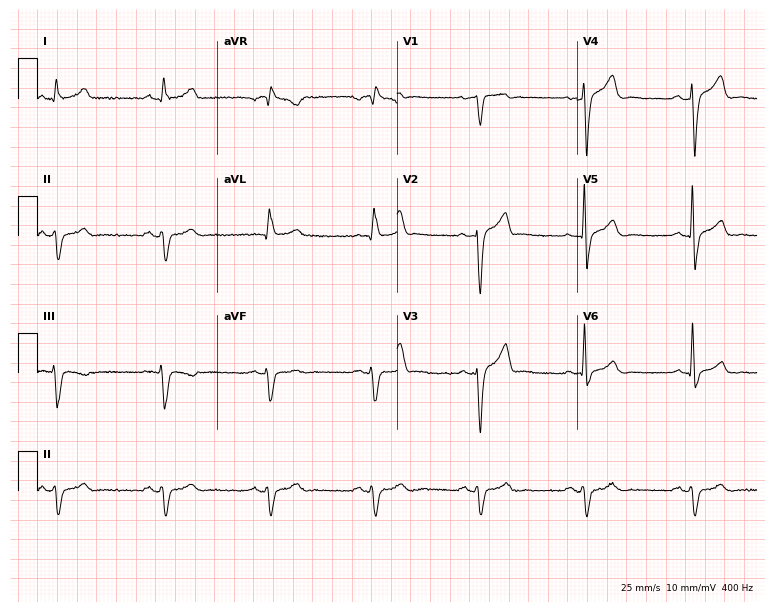
12-lead ECG from a male, 56 years old (7.3-second recording at 400 Hz). No first-degree AV block, right bundle branch block, left bundle branch block, sinus bradycardia, atrial fibrillation or sinus tachycardia recorded for this tracing. Other findings, if any, are not listed.